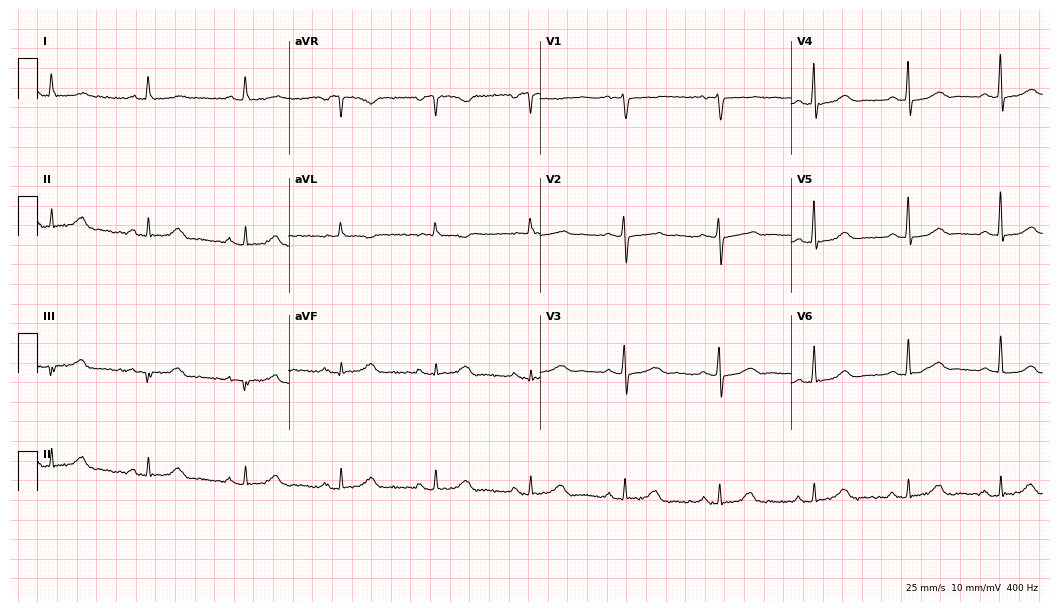
Resting 12-lead electrocardiogram (10.2-second recording at 400 Hz). Patient: an 82-year-old woman. Read as a normal ECG.